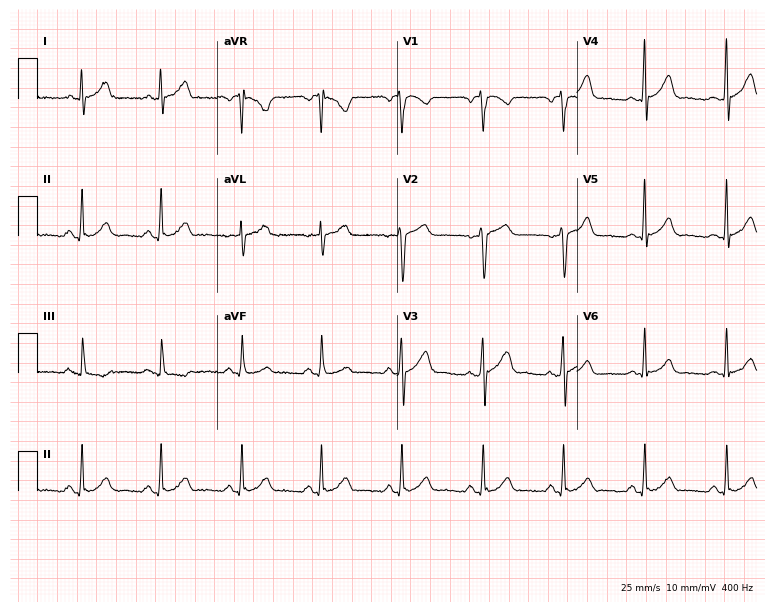
ECG — a man, 39 years old. Labelled as a normal ECG.